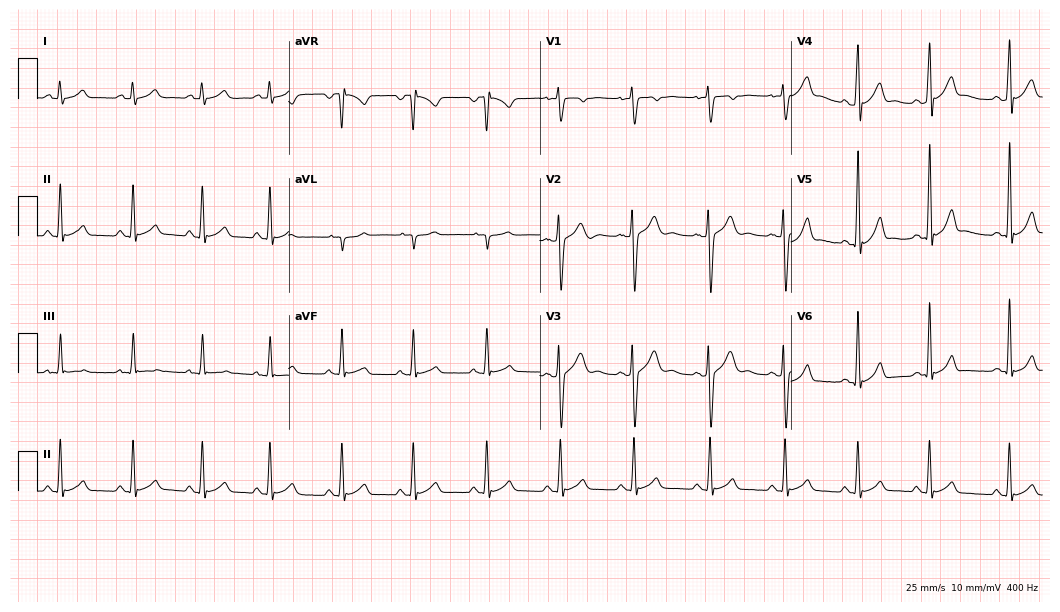
Electrocardiogram (10.2-second recording at 400 Hz), a 17-year-old male. Overall reading on record: normal ECG.